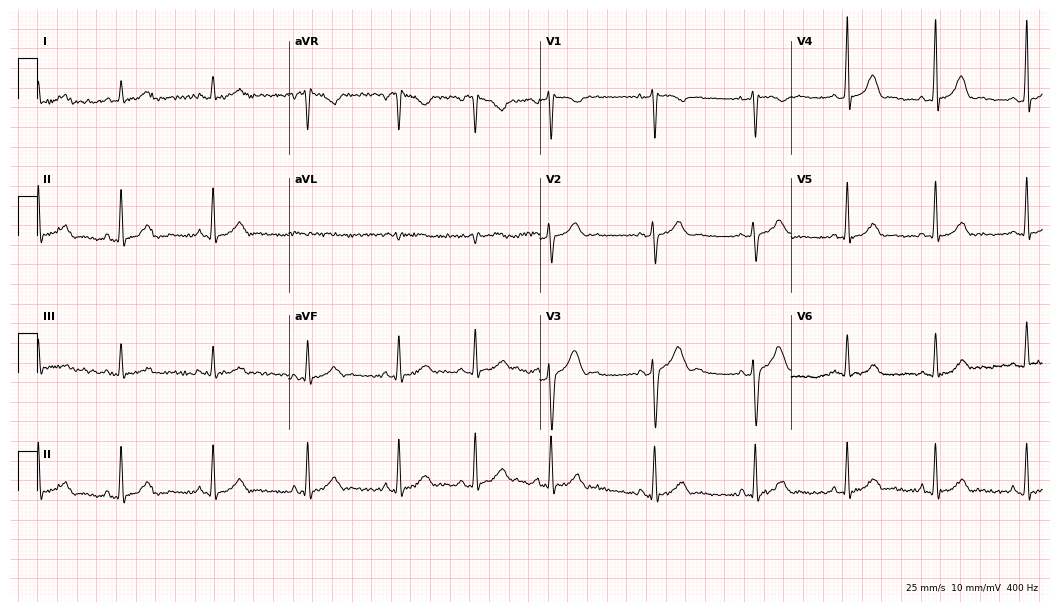
Electrocardiogram, a female patient, 28 years old. Of the six screened findings (first-degree AV block, right bundle branch block, left bundle branch block, sinus bradycardia, atrial fibrillation, sinus tachycardia), none is recorded.